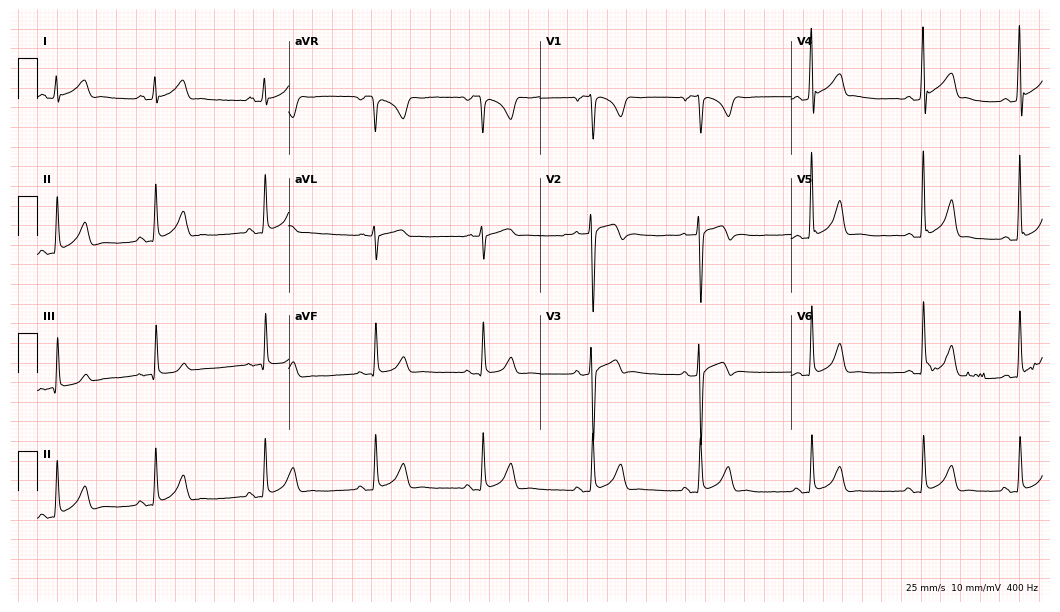
12-lead ECG from a 24-year-old male. No first-degree AV block, right bundle branch block (RBBB), left bundle branch block (LBBB), sinus bradycardia, atrial fibrillation (AF) or sinus tachycardia recorded for this tracing.